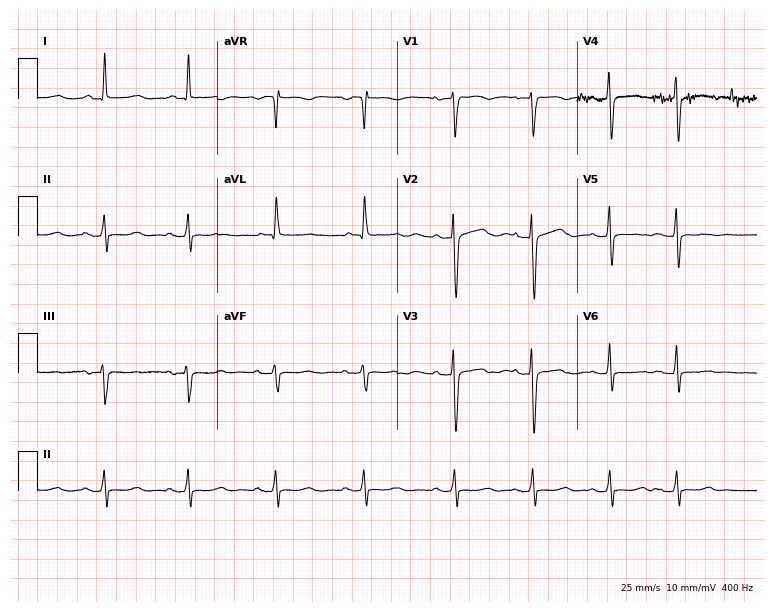
12-lead ECG from a female patient, 63 years old (7.3-second recording at 400 Hz). No first-degree AV block, right bundle branch block, left bundle branch block, sinus bradycardia, atrial fibrillation or sinus tachycardia recorded for this tracing. Only these six findings were labelled.